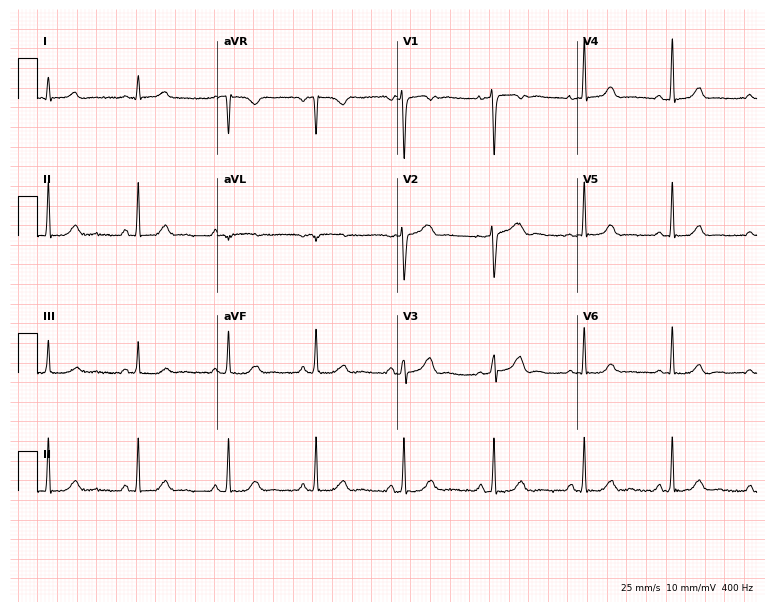
ECG — a 33-year-old female patient. Screened for six findings — first-degree AV block, right bundle branch block, left bundle branch block, sinus bradycardia, atrial fibrillation, sinus tachycardia — none is recorded. Only these six findings were labelled.